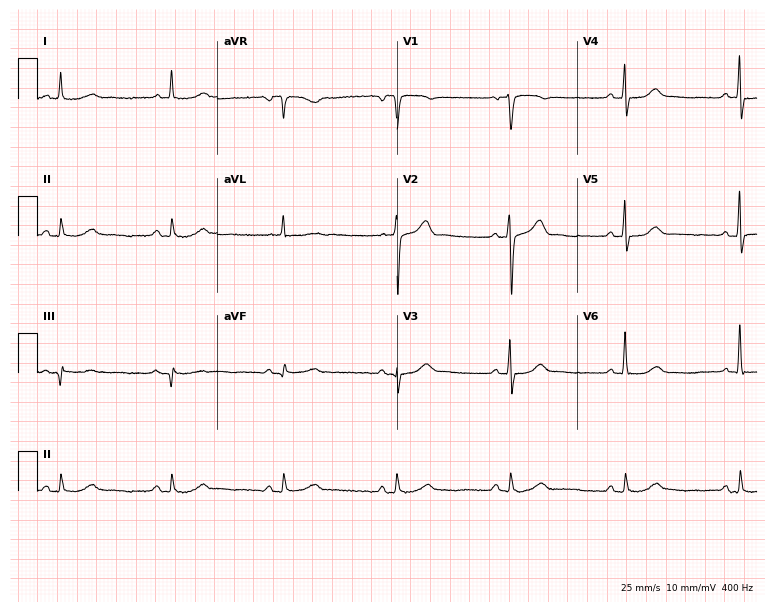
Electrocardiogram (7.3-second recording at 400 Hz), a 75-year-old female patient. Overall reading on record: normal ECG.